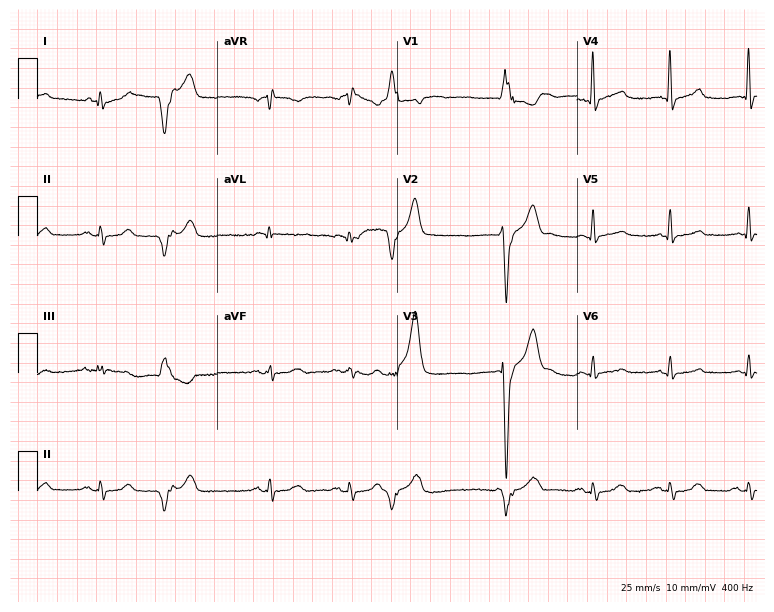
Electrocardiogram, a female, 72 years old. Of the six screened findings (first-degree AV block, right bundle branch block, left bundle branch block, sinus bradycardia, atrial fibrillation, sinus tachycardia), none is recorded.